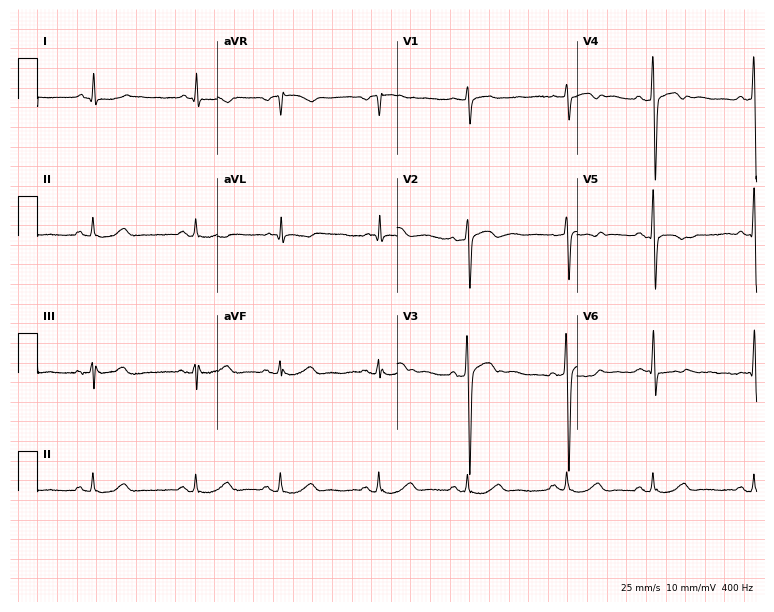
12-lead ECG (7.3-second recording at 400 Hz) from a male, 70 years old. Screened for six findings — first-degree AV block, right bundle branch block, left bundle branch block, sinus bradycardia, atrial fibrillation, sinus tachycardia — none is recorded. Only these six findings were labelled.